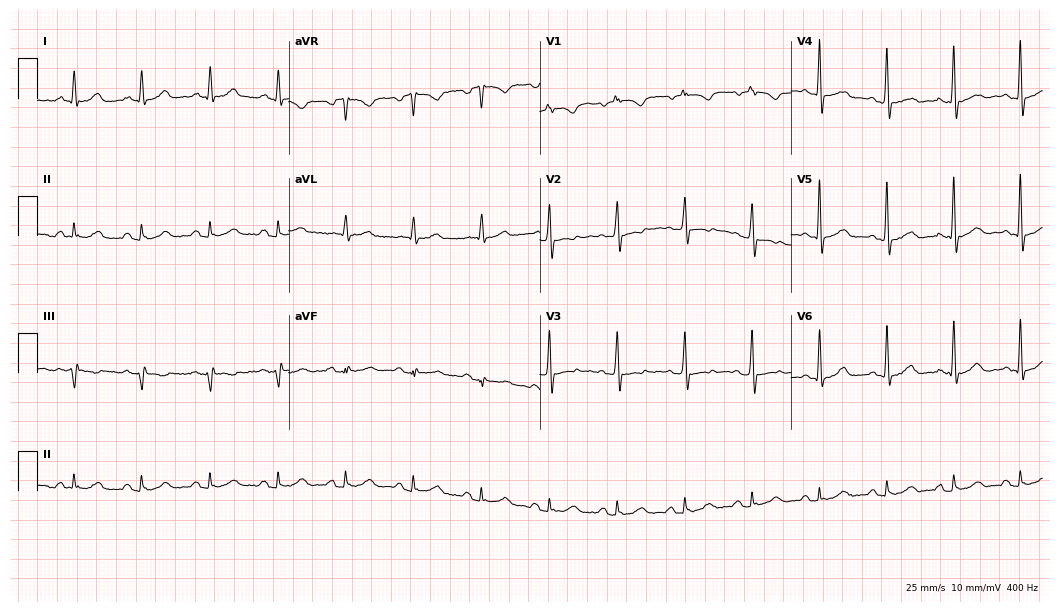
12-lead ECG from a man, 83 years old. Screened for six findings — first-degree AV block, right bundle branch block, left bundle branch block, sinus bradycardia, atrial fibrillation, sinus tachycardia — none is recorded.